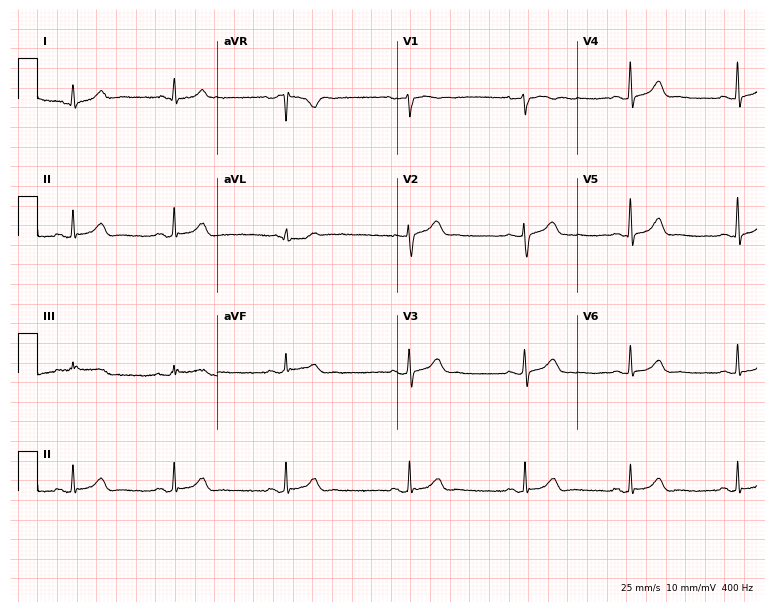
ECG — a 48-year-old female patient. Labelled as a normal ECG.